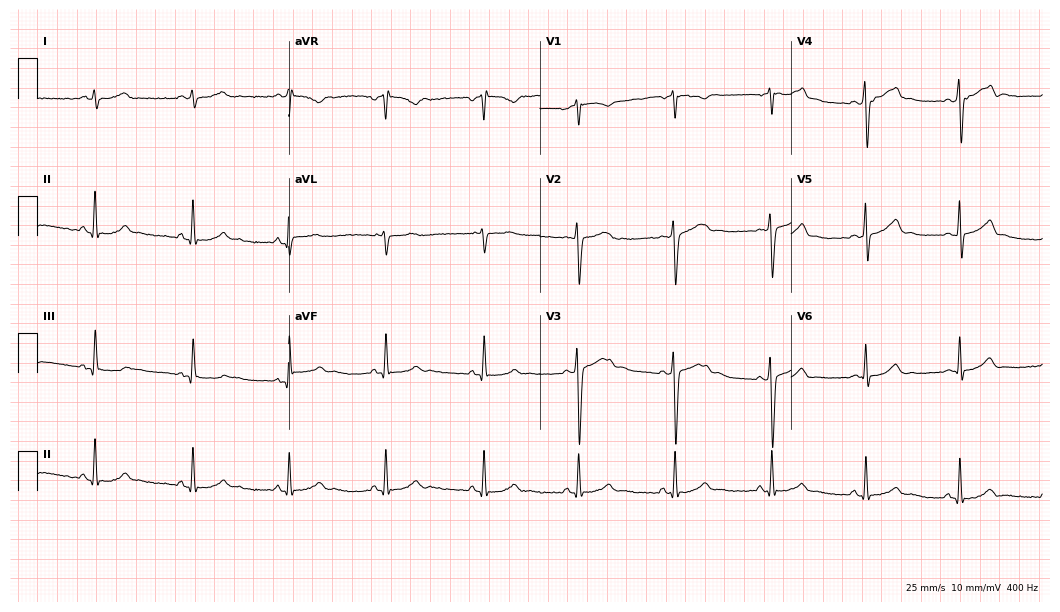
Electrocardiogram, a female patient, 32 years old. Overall reading on record: normal ECG.